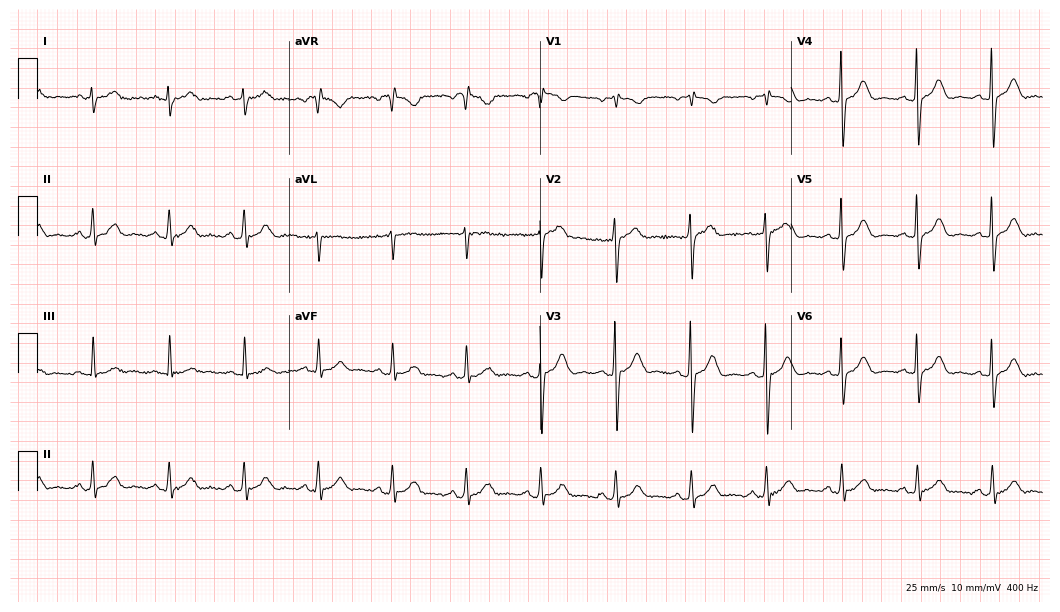
12-lead ECG from a 33-year-old man (10.2-second recording at 400 Hz). Recorded interpretation: within normal limits.